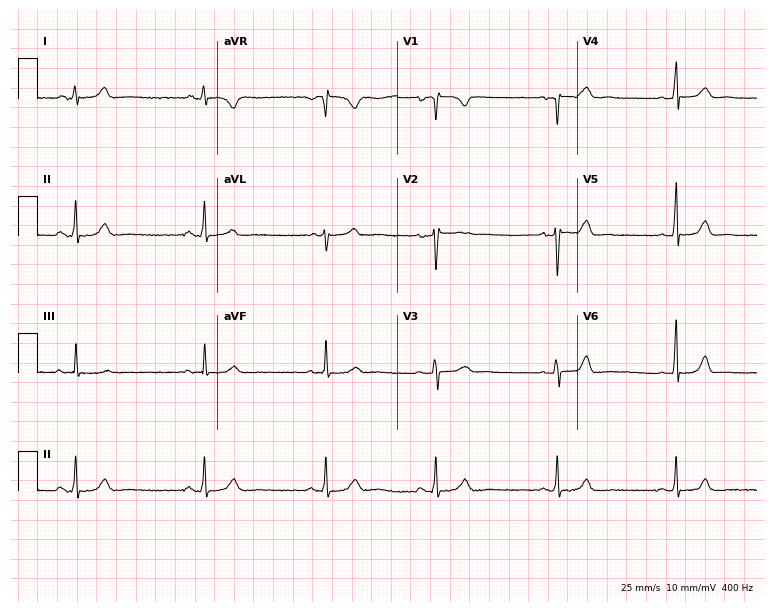
12-lead ECG from a 29-year-old female patient. Screened for six findings — first-degree AV block, right bundle branch block, left bundle branch block, sinus bradycardia, atrial fibrillation, sinus tachycardia — none is recorded. Only these six findings were labelled.